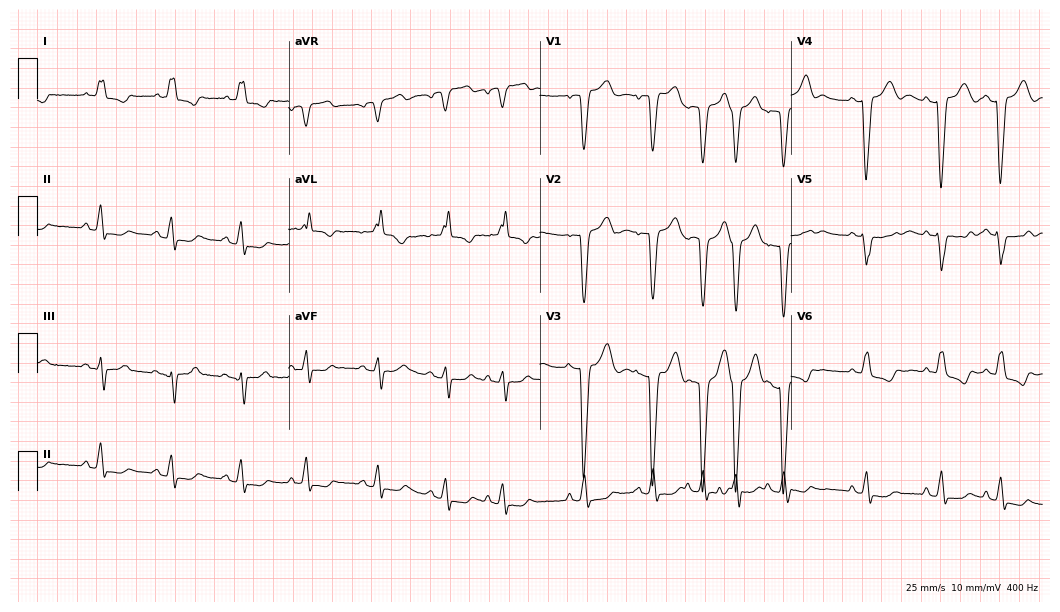
Standard 12-lead ECG recorded from a 78-year-old female. The tracing shows left bundle branch block.